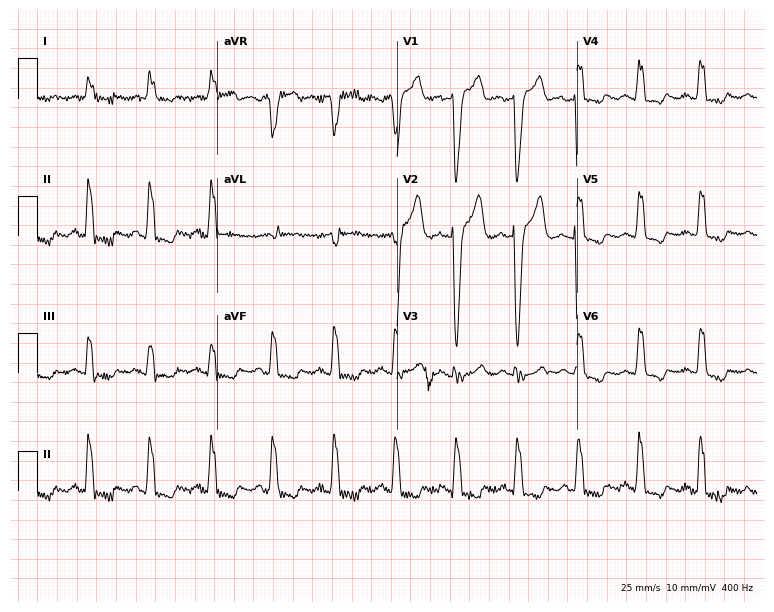
Standard 12-lead ECG recorded from a female, 80 years old (7.3-second recording at 400 Hz). The tracing shows left bundle branch block (LBBB).